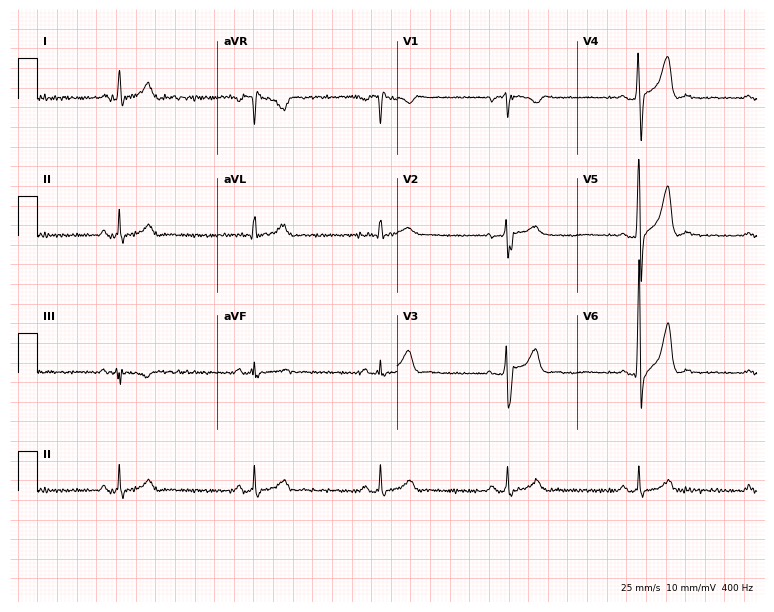
12-lead ECG from a man, 28 years old (7.3-second recording at 400 Hz). Shows sinus bradycardia (a sinus rate of 50 beats per minute or less).